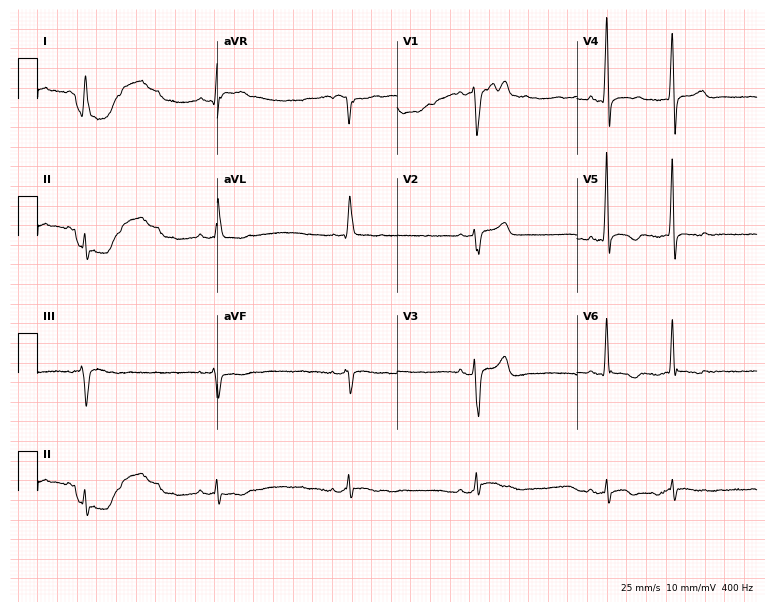
Electrocardiogram (7.3-second recording at 400 Hz), a male, 81 years old. Interpretation includes sinus bradycardia (a sinus rate of 50 beats per minute or less).